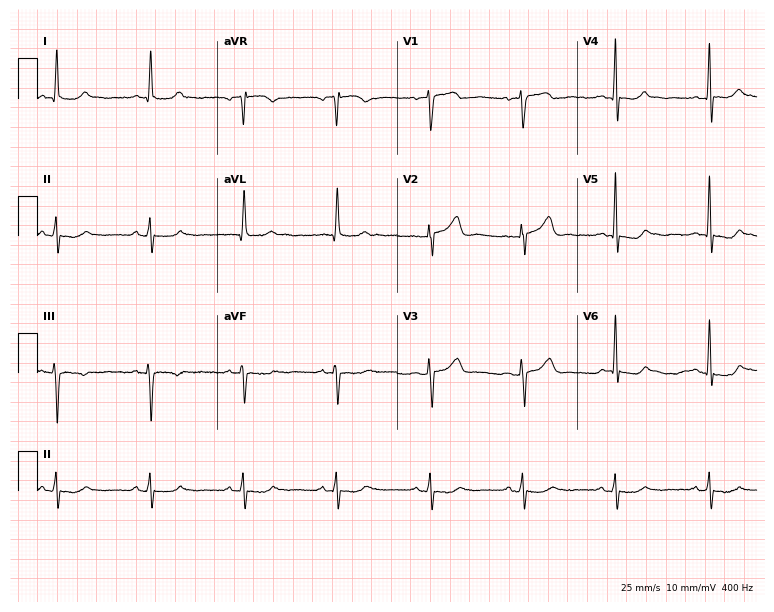
Standard 12-lead ECG recorded from an 84-year-old male (7.3-second recording at 400 Hz). None of these six findings is recorded: first-degree AV block, right bundle branch block (RBBB), left bundle branch block (LBBB), sinus bradycardia, atrial fibrillation (AF), sinus tachycardia.